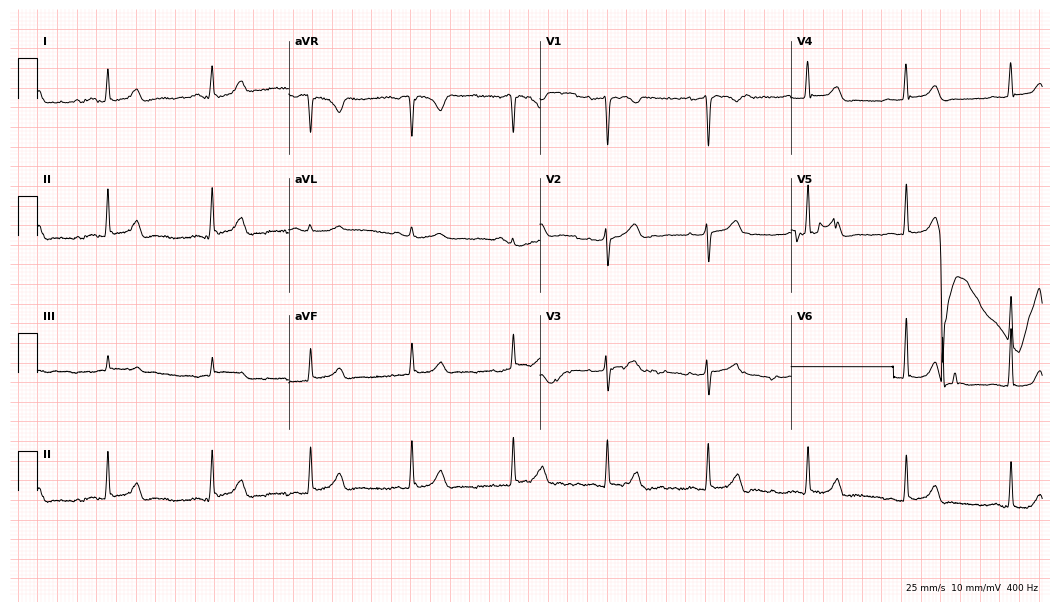
ECG (10.2-second recording at 400 Hz) — a woman, 33 years old. Screened for six findings — first-degree AV block, right bundle branch block, left bundle branch block, sinus bradycardia, atrial fibrillation, sinus tachycardia — none is recorded. Other findings, if any, are not listed.